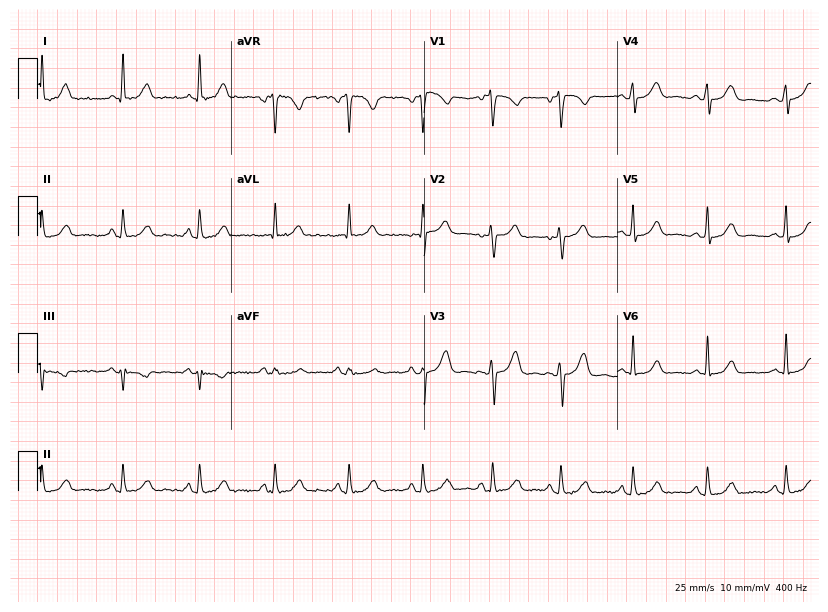
Resting 12-lead electrocardiogram (7.9-second recording at 400 Hz). Patient: a female, 38 years old. None of these six findings is recorded: first-degree AV block, right bundle branch block, left bundle branch block, sinus bradycardia, atrial fibrillation, sinus tachycardia. Findings outside these six are not listed.